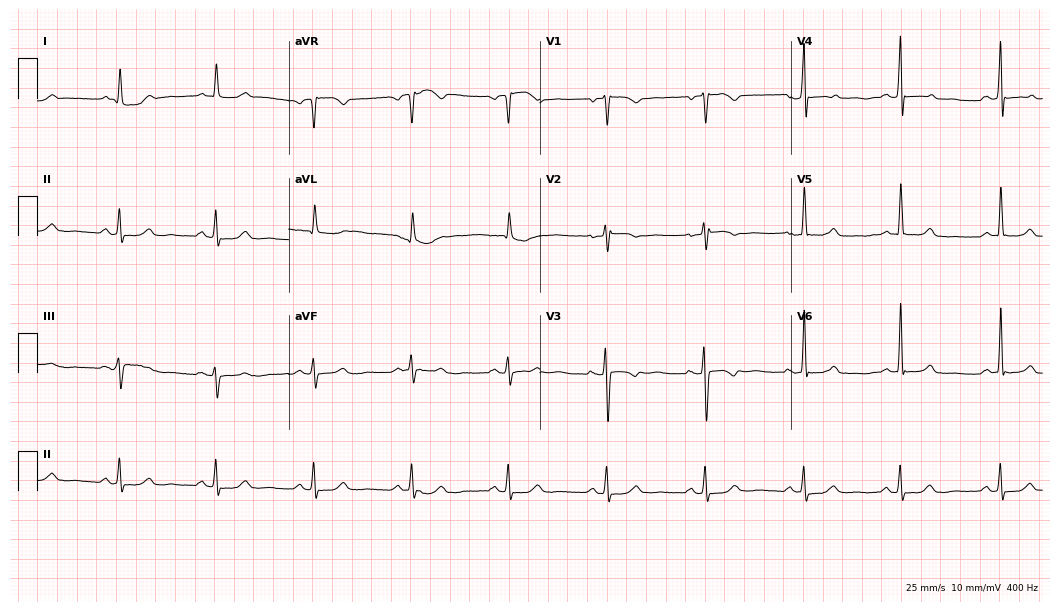
12-lead ECG from a woman, 50 years old. No first-degree AV block, right bundle branch block, left bundle branch block, sinus bradycardia, atrial fibrillation or sinus tachycardia recorded for this tracing.